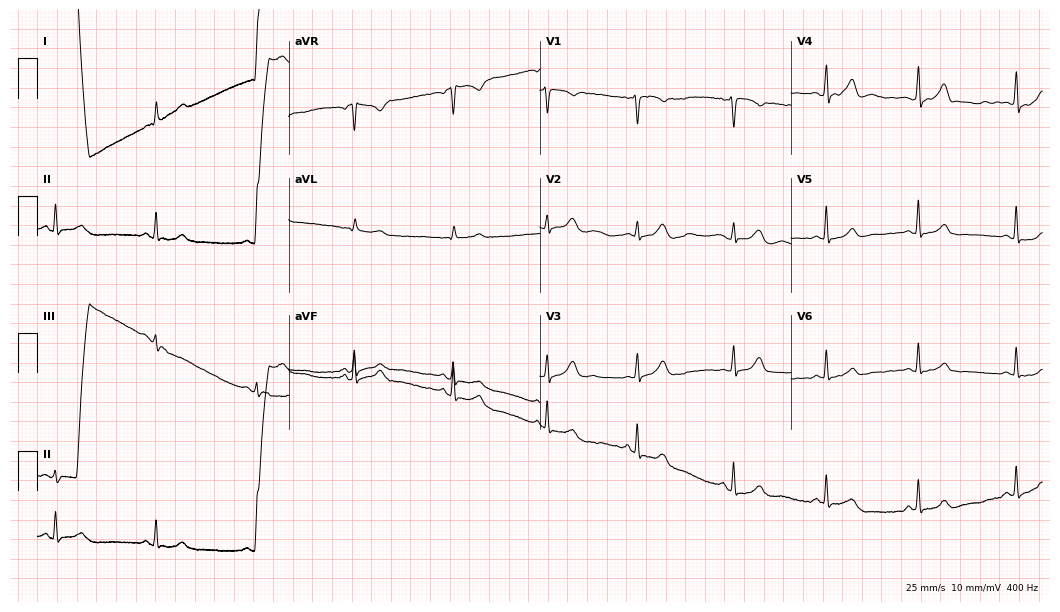
Standard 12-lead ECG recorded from a 36-year-old woman (10.2-second recording at 400 Hz). Read as a normal ECG.